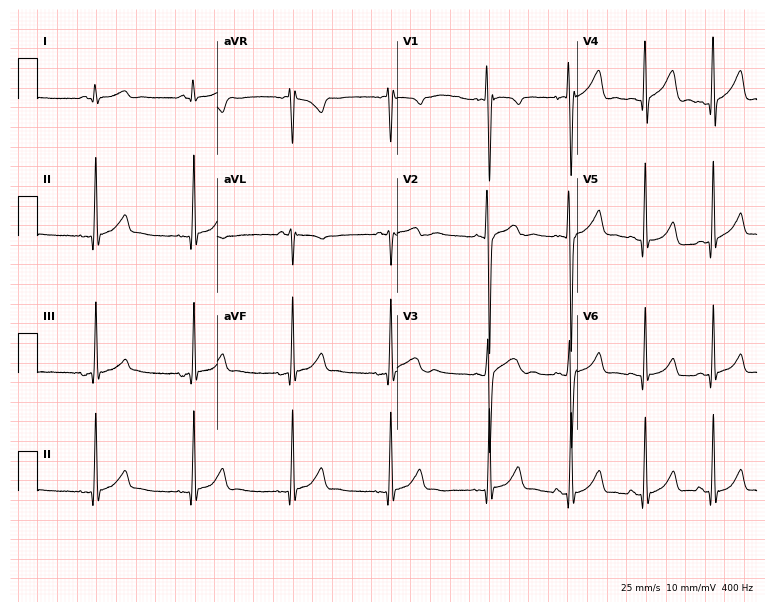
12-lead ECG from a male, 18 years old (7.3-second recording at 400 Hz). Recorded interpretation: within normal limits.